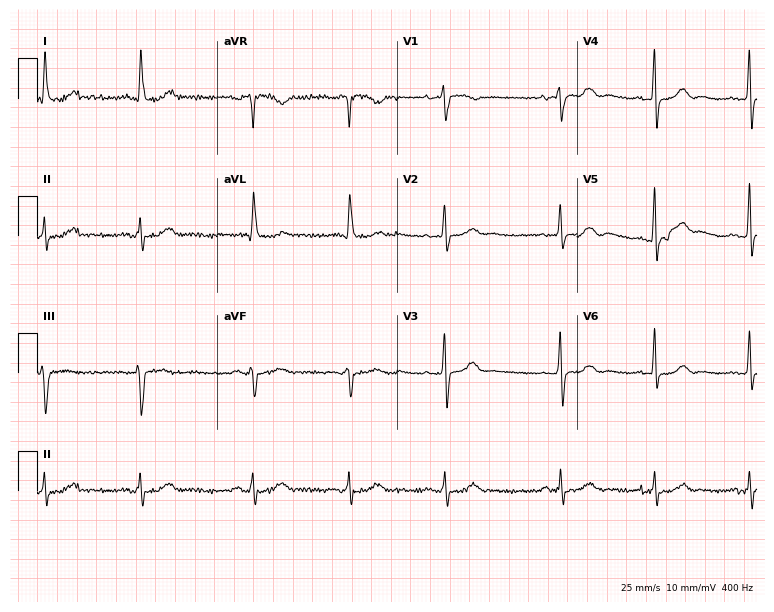
Resting 12-lead electrocardiogram. Patient: a 73-year-old woman. None of these six findings is recorded: first-degree AV block, right bundle branch block (RBBB), left bundle branch block (LBBB), sinus bradycardia, atrial fibrillation (AF), sinus tachycardia.